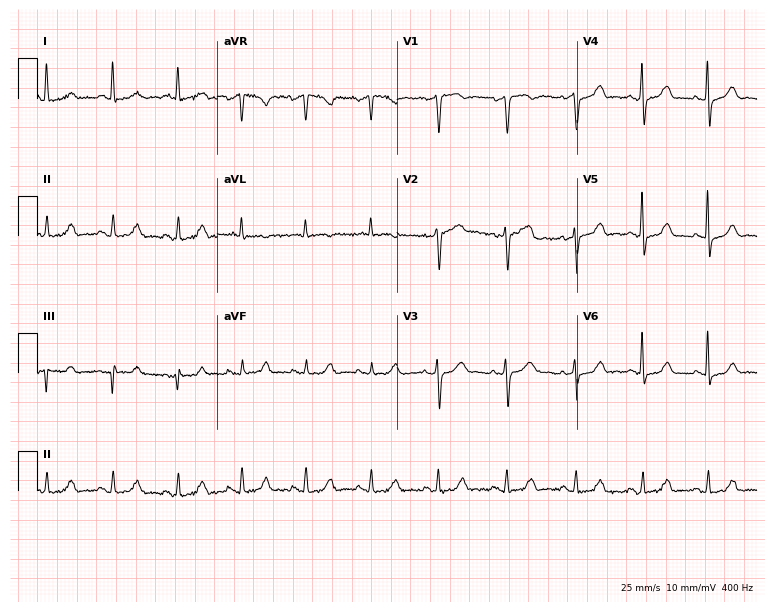
12-lead ECG from a 51-year-old female patient. Labelled as a normal ECG.